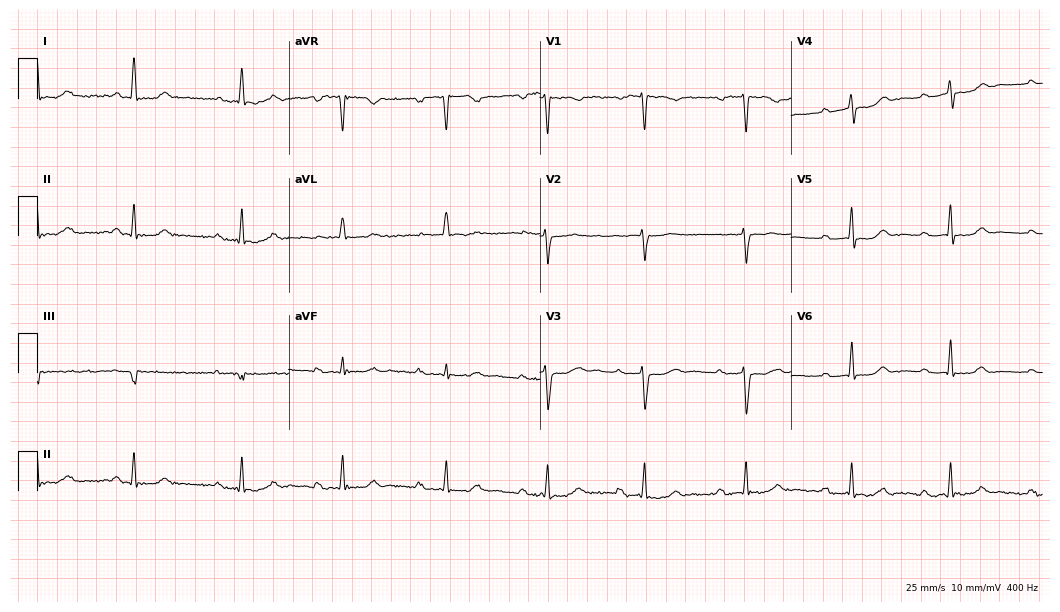
Electrocardiogram, a female, 52 years old. Interpretation includes first-degree AV block.